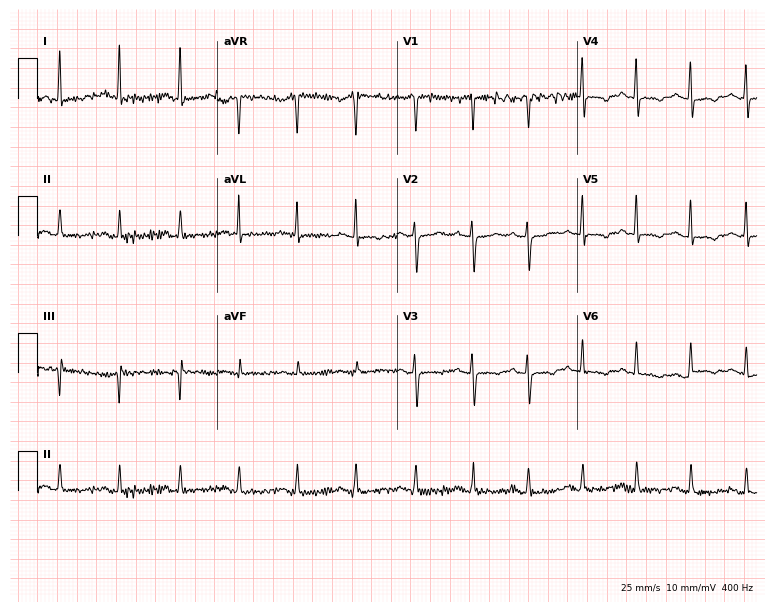
Electrocardiogram, a 36-year-old woman. Of the six screened findings (first-degree AV block, right bundle branch block, left bundle branch block, sinus bradycardia, atrial fibrillation, sinus tachycardia), none is recorded.